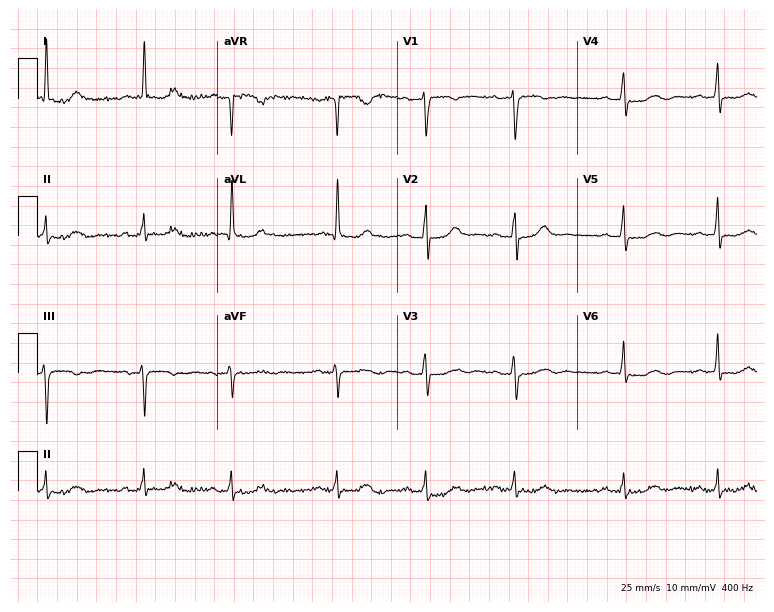
ECG (7.3-second recording at 400 Hz) — an 80-year-old woman. Labelled as a normal ECG.